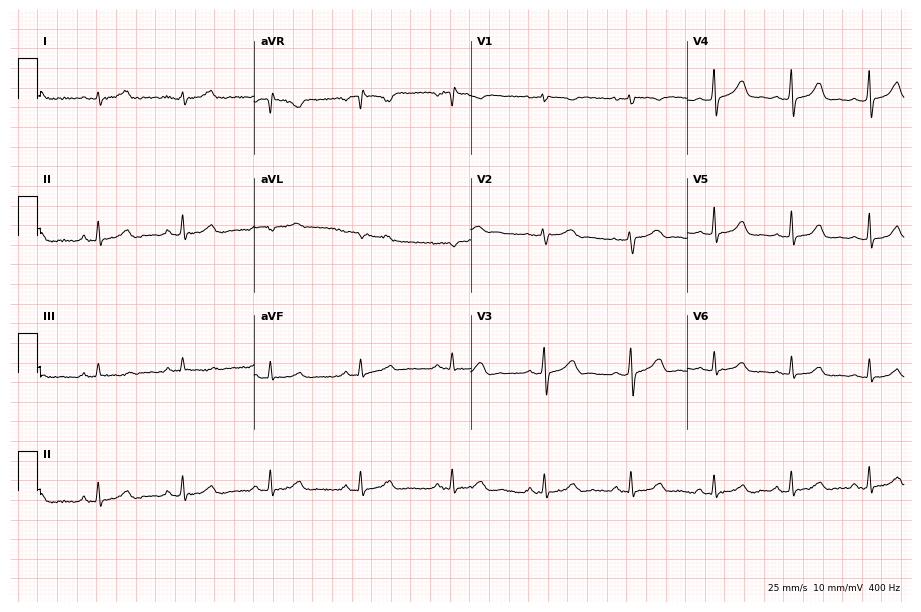
Resting 12-lead electrocardiogram (8.8-second recording at 400 Hz). Patient: a female, 39 years old. Read as a normal ECG.